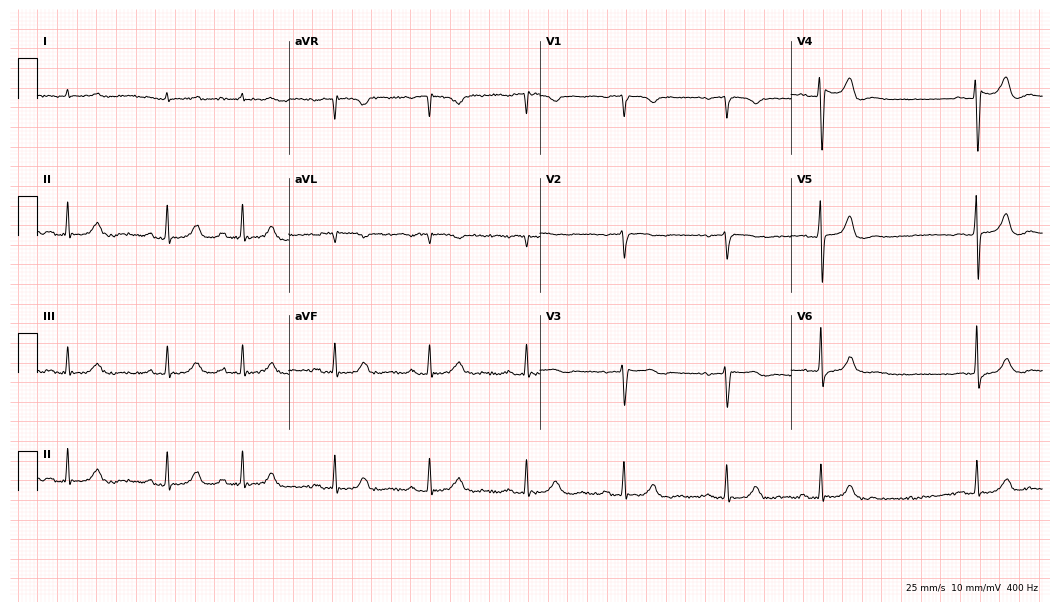
Resting 12-lead electrocardiogram. Patient: a male, 86 years old. Read as a normal ECG.